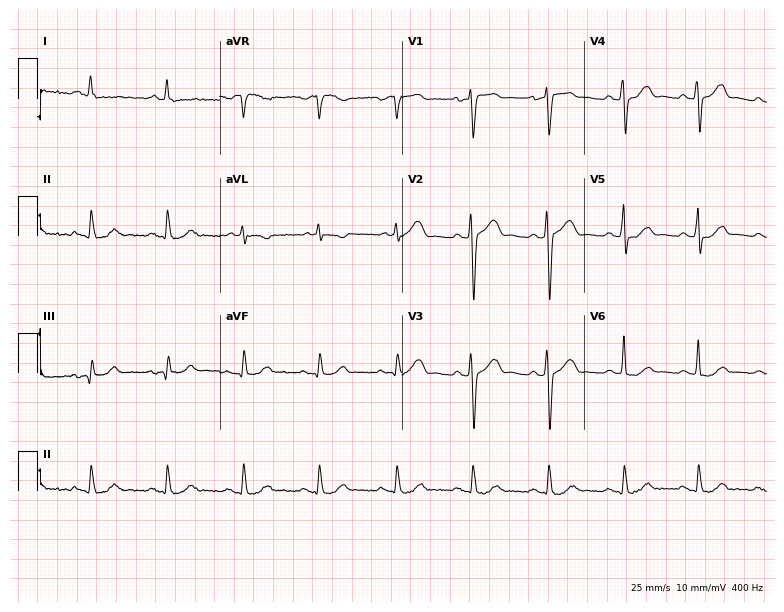
Electrocardiogram (7.4-second recording at 400 Hz), a man, 70 years old. Overall reading on record: normal ECG.